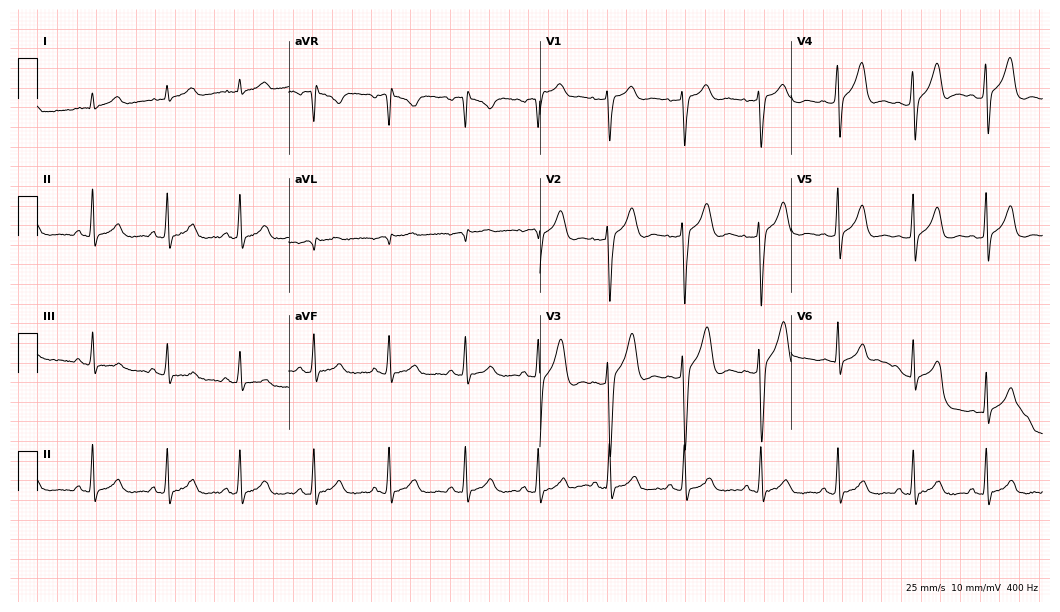
Standard 12-lead ECG recorded from a man, 26 years old (10.2-second recording at 400 Hz). Read as a normal ECG.